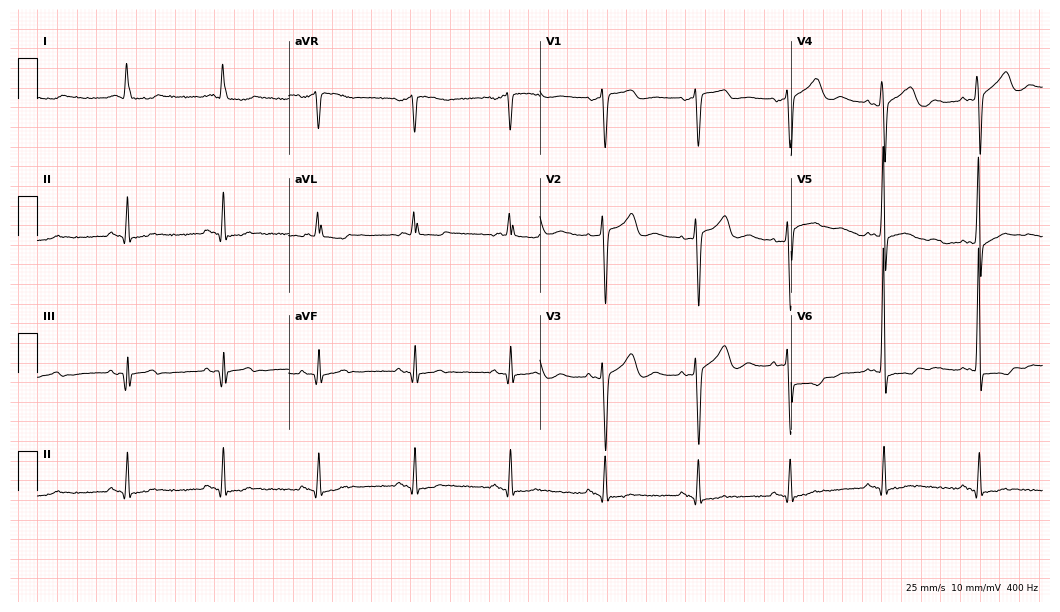
12-lead ECG from a man, 76 years old. No first-degree AV block, right bundle branch block, left bundle branch block, sinus bradycardia, atrial fibrillation or sinus tachycardia recorded for this tracing. Only these six findings were labelled.